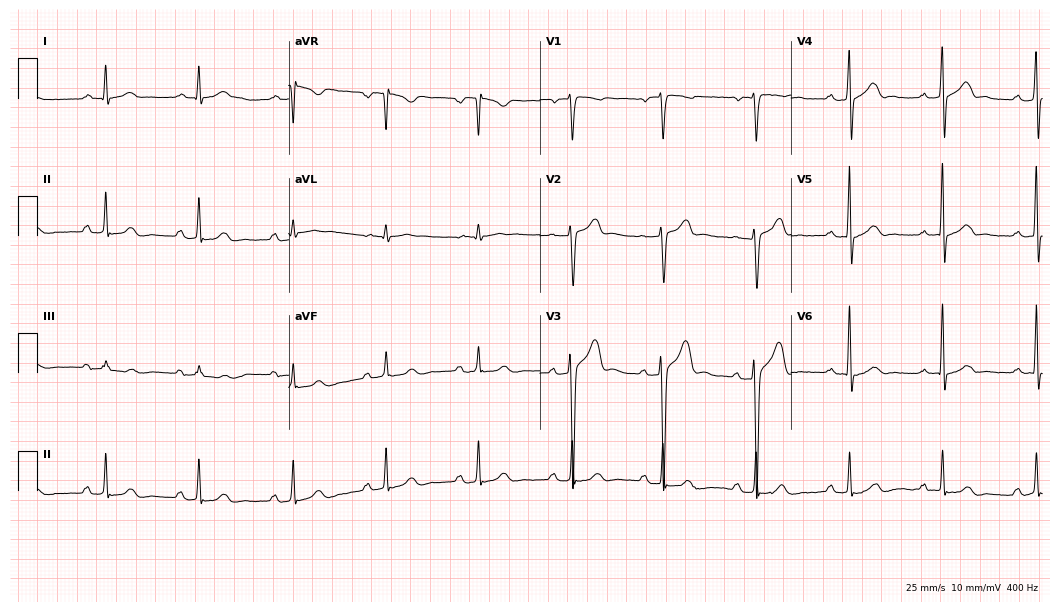
Standard 12-lead ECG recorded from a man, 49 years old. Read as a normal ECG.